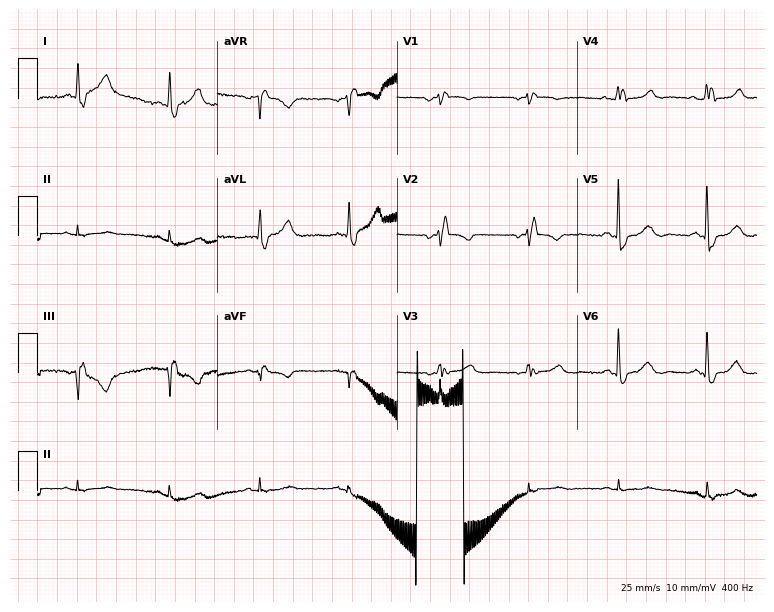
Electrocardiogram (7.3-second recording at 400 Hz), a 58-year-old female. Of the six screened findings (first-degree AV block, right bundle branch block, left bundle branch block, sinus bradycardia, atrial fibrillation, sinus tachycardia), none is recorded.